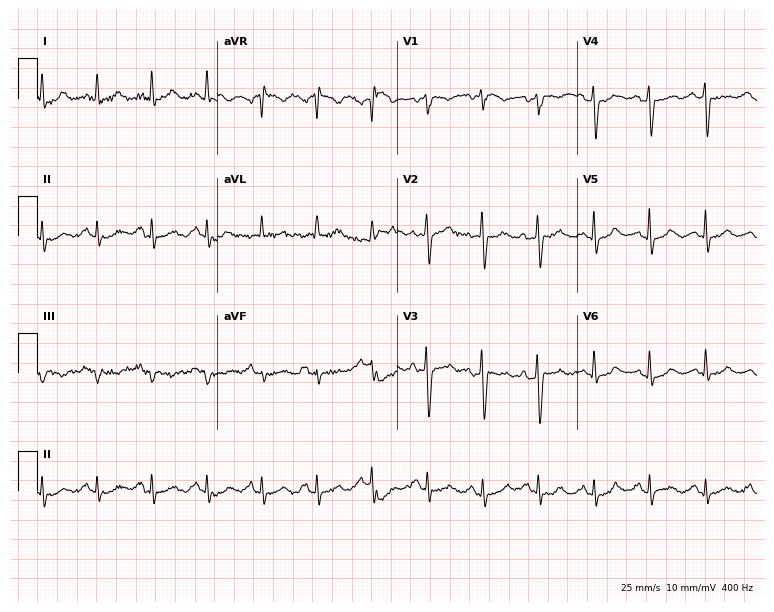
Electrocardiogram (7.3-second recording at 400 Hz), a woman, 75 years old. Interpretation includes sinus tachycardia (a sinus rate of 100 beats per minute or more).